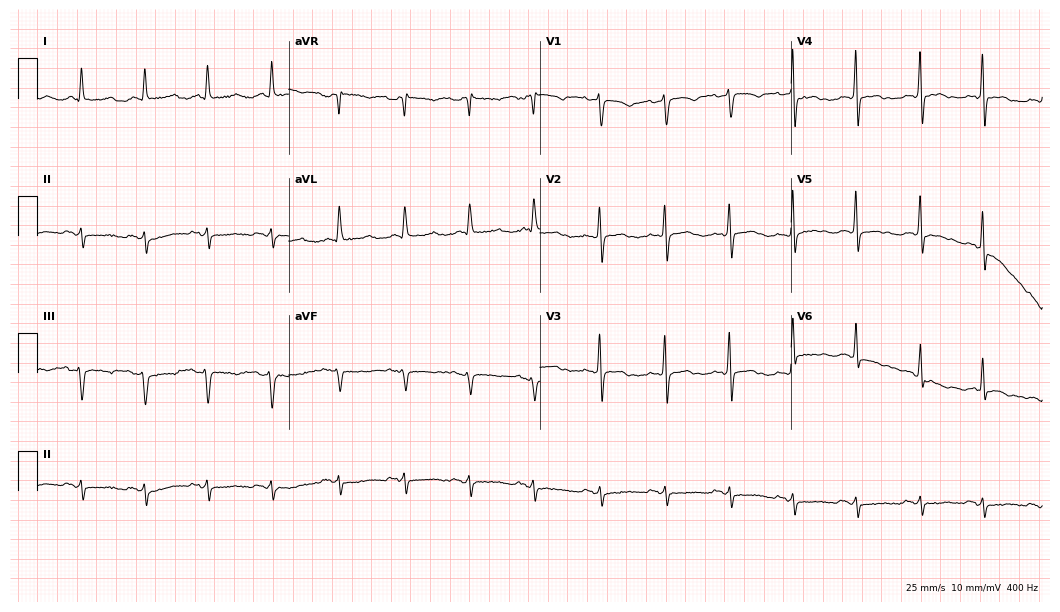
12-lead ECG (10.2-second recording at 400 Hz) from a female patient, 70 years old. Screened for six findings — first-degree AV block, right bundle branch block (RBBB), left bundle branch block (LBBB), sinus bradycardia, atrial fibrillation (AF), sinus tachycardia — none is recorded.